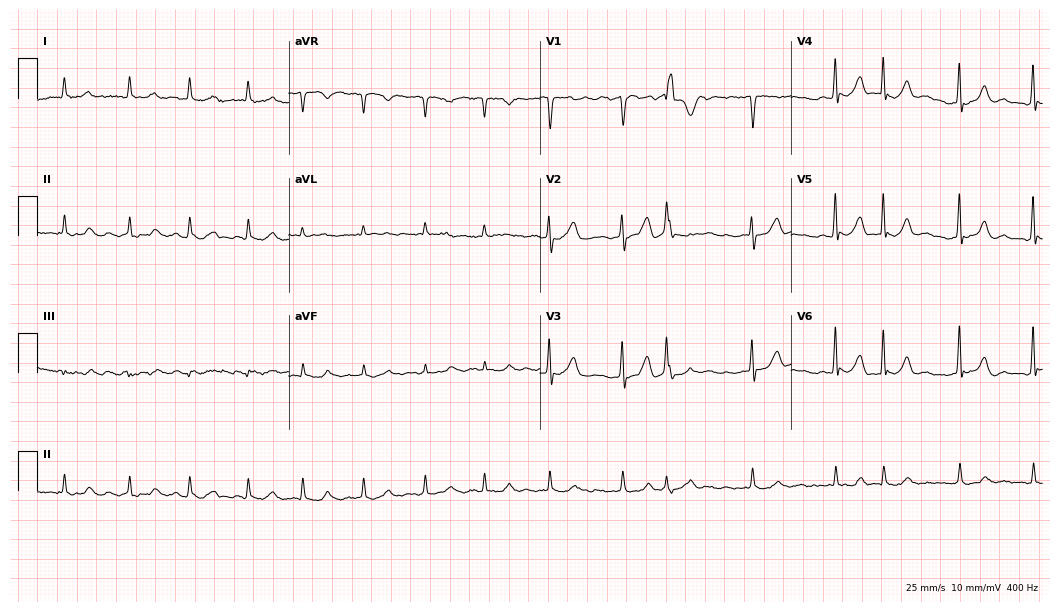
Resting 12-lead electrocardiogram. Patient: a 78-year-old male. The tracing shows atrial fibrillation.